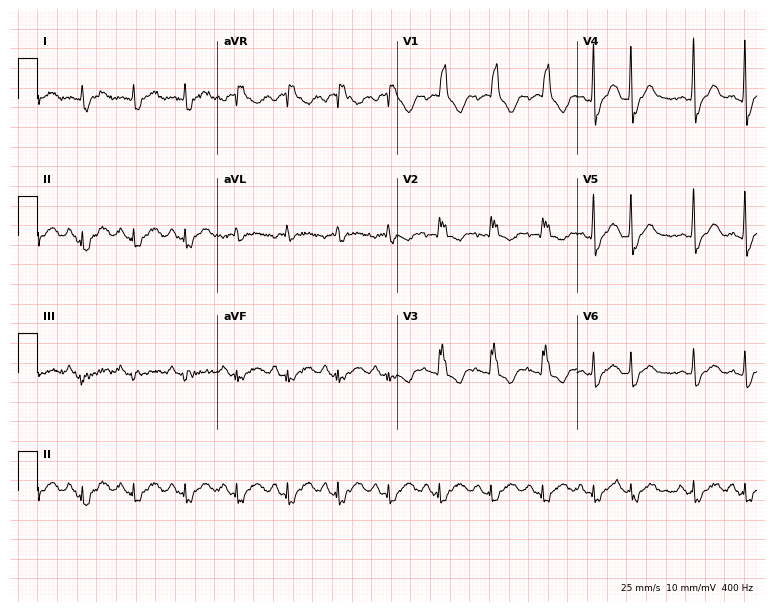
12-lead ECG from a 72-year-old female patient. Shows right bundle branch block, sinus tachycardia (a sinus rate of 100 beats per minute or more).